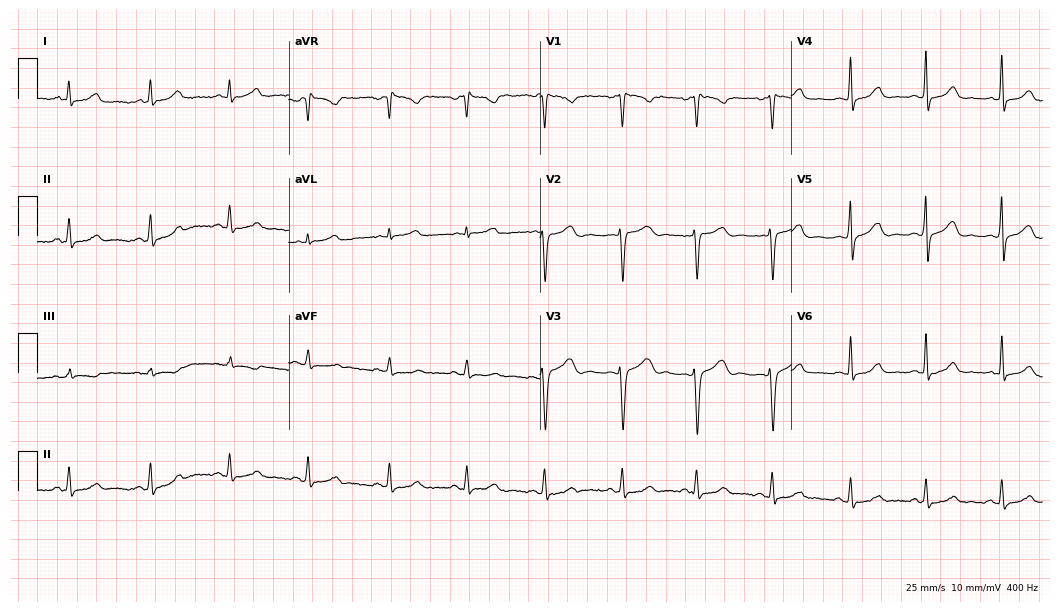
ECG — a woman, 36 years old. Labelled as a normal ECG.